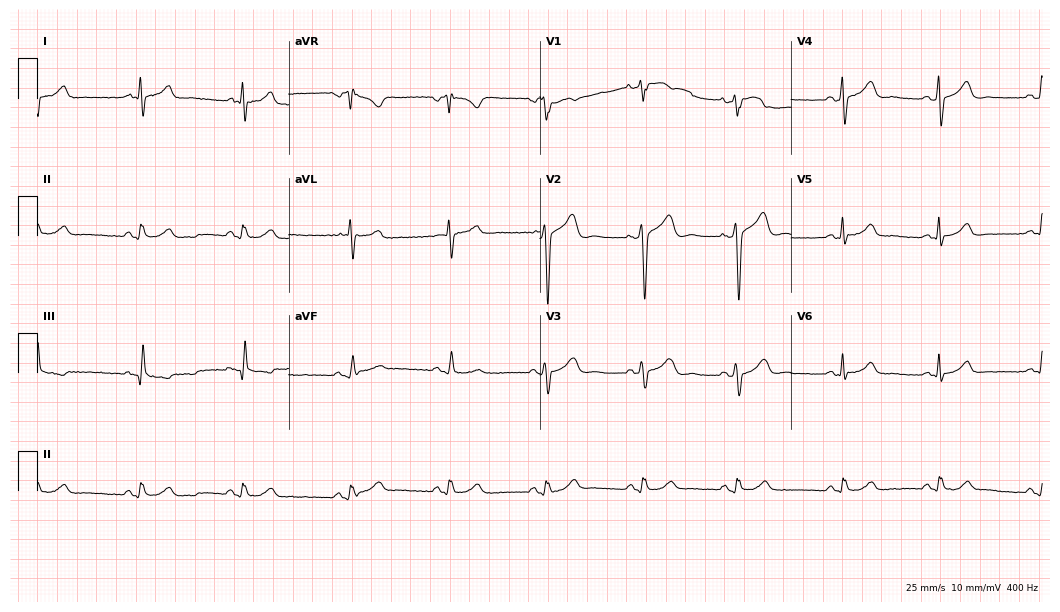
Standard 12-lead ECG recorded from a male, 56 years old. Read as a normal ECG.